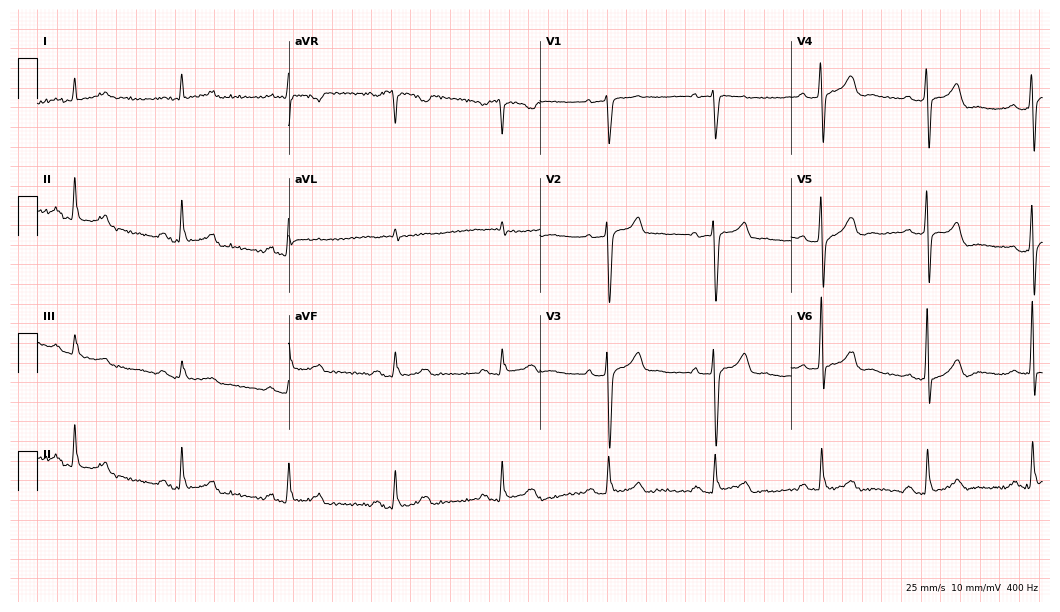
12-lead ECG (10.2-second recording at 400 Hz) from a male, 80 years old. Findings include first-degree AV block.